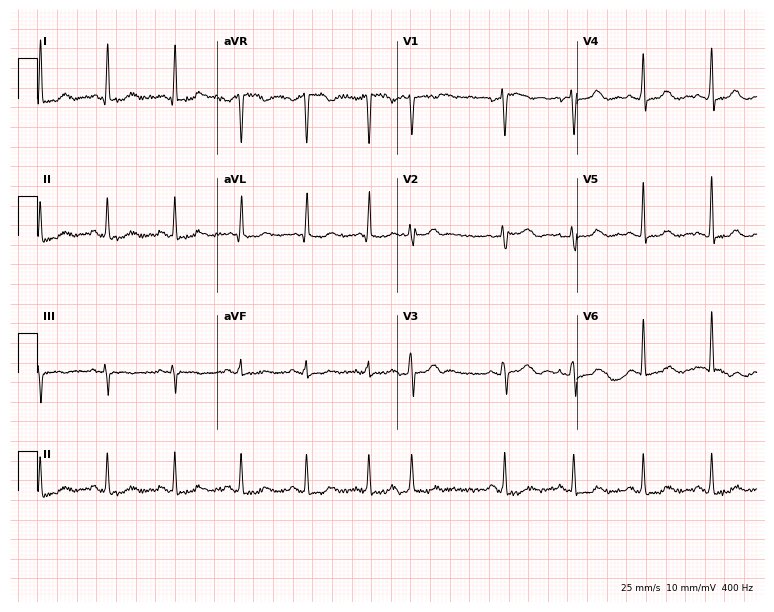
12-lead ECG from a female, 60 years old. No first-degree AV block, right bundle branch block (RBBB), left bundle branch block (LBBB), sinus bradycardia, atrial fibrillation (AF) or sinus tachycardia recorded for this tracing.